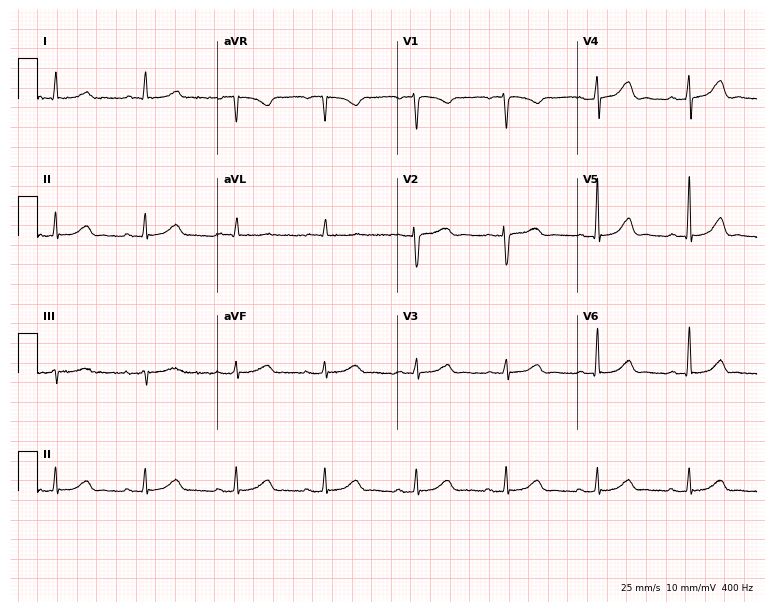
Resting 12-lead electrocardiogram (7.3-second recording at 400 Hz). Patient: a female, 72 years old. Read as a normal ECG.